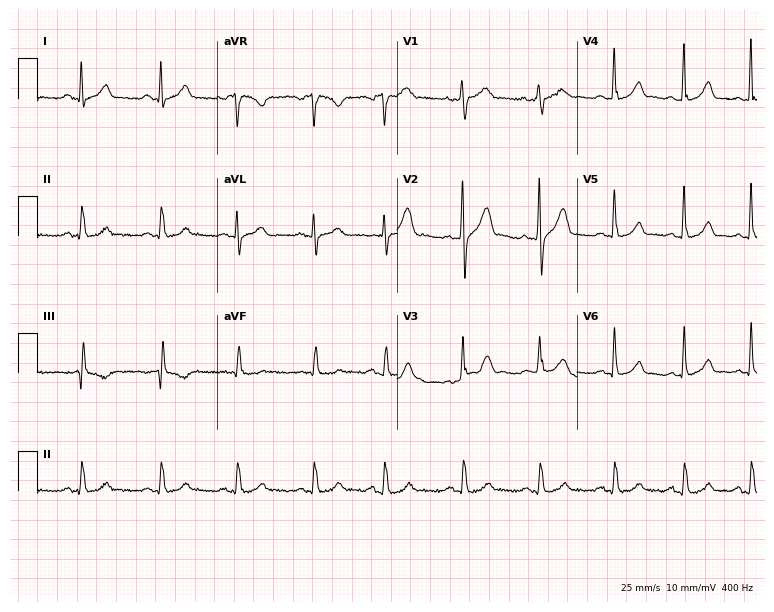
Standard 12-lead ECG recorded from a man, 24 years old. Read as a normal ECG.